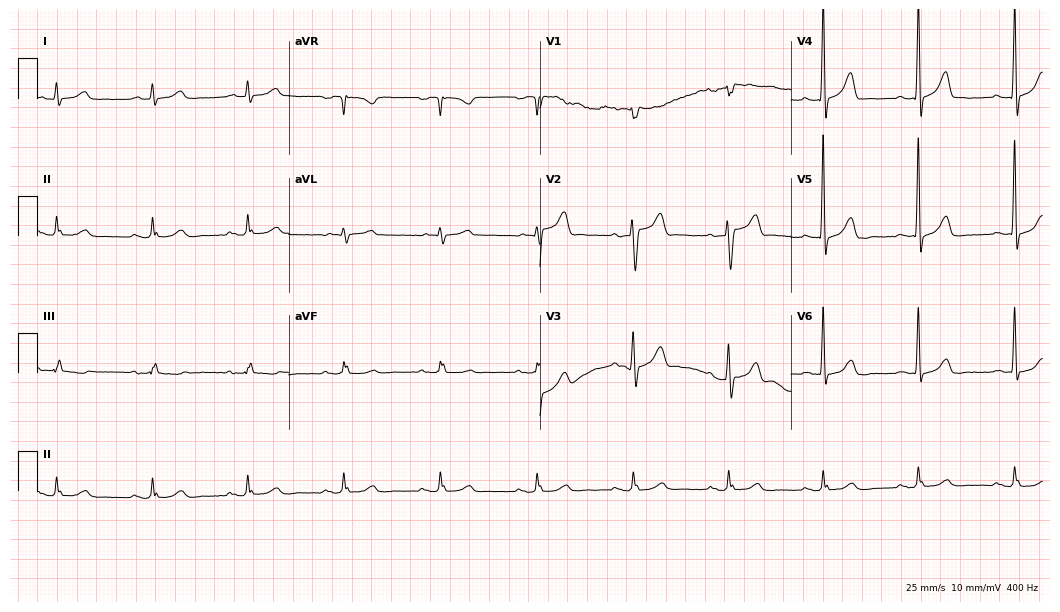
Electrocardiogram (10.2-second recording at 400 Hz), a man, 82 years old. Of the six screened findings (first-degree AV block, right bundle branch block, left bundle branch block, sinus bradycardia, atrial fibrillation, sinus tachycardia), none is recorded.